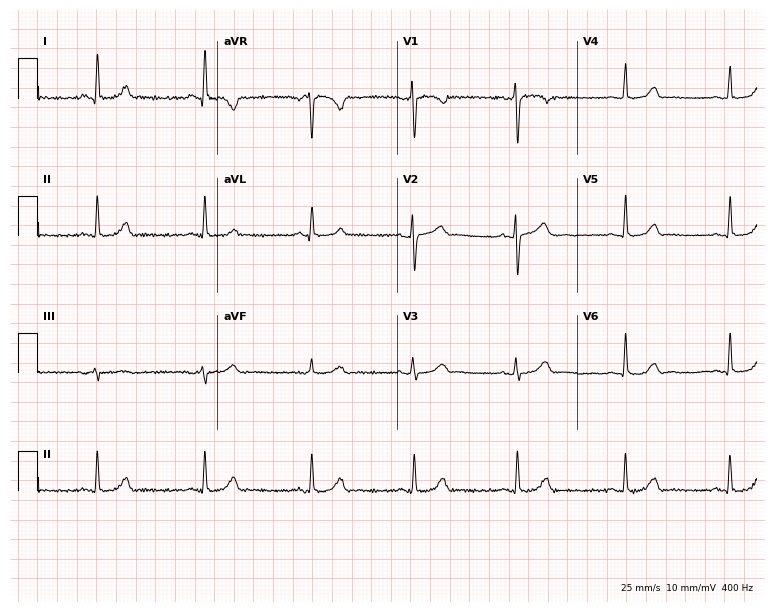
Electrocardiogram (7.3-second recording at 400 Hz), a woman, 34 years old. Of the six screened findings (first-degree AV block, right bundle branch block, left bundle branch block, sinus bradycardia, atrial fibrillation, sinus tachycardia), none is recorded.